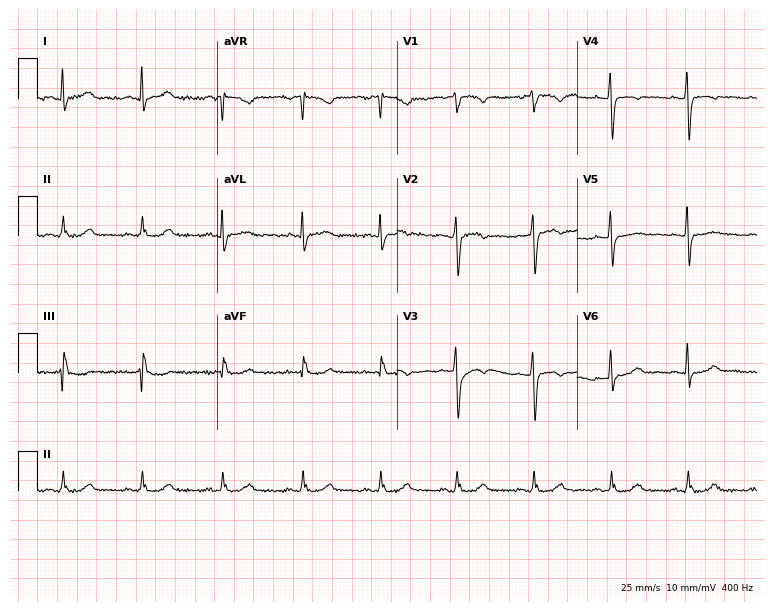
Electrocardiogram (7.3-second recording at 400 Hz), a 58-year-old female patient. Of the six screened findings (first-degree AV block, right bundle branch block, left bundle branch block, sinus bradycardia, atrial fibrillation, sinus tachycardia), none is recorded.